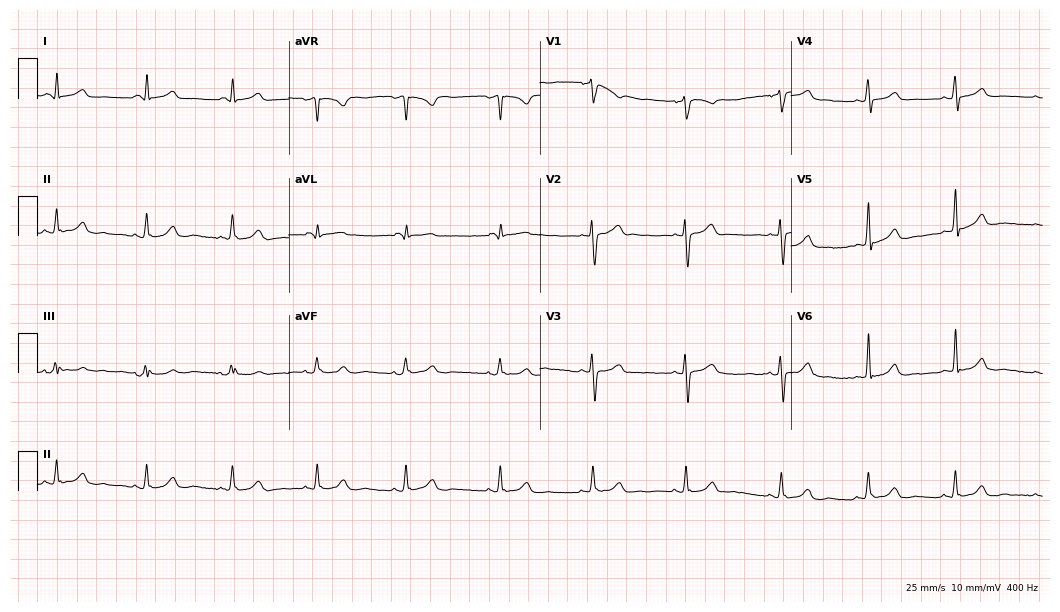
Standard 12-lead ECG recorded from a female patient, 34 years old (10.2-second recording at 400 Hz). None of these six findings is recorded: first-degree AV block, right bundle branch block (RBBB), left bundle branch block (LBBB), sinus bradycardia, atrial fibrillation (AF), sinus tachycardia.